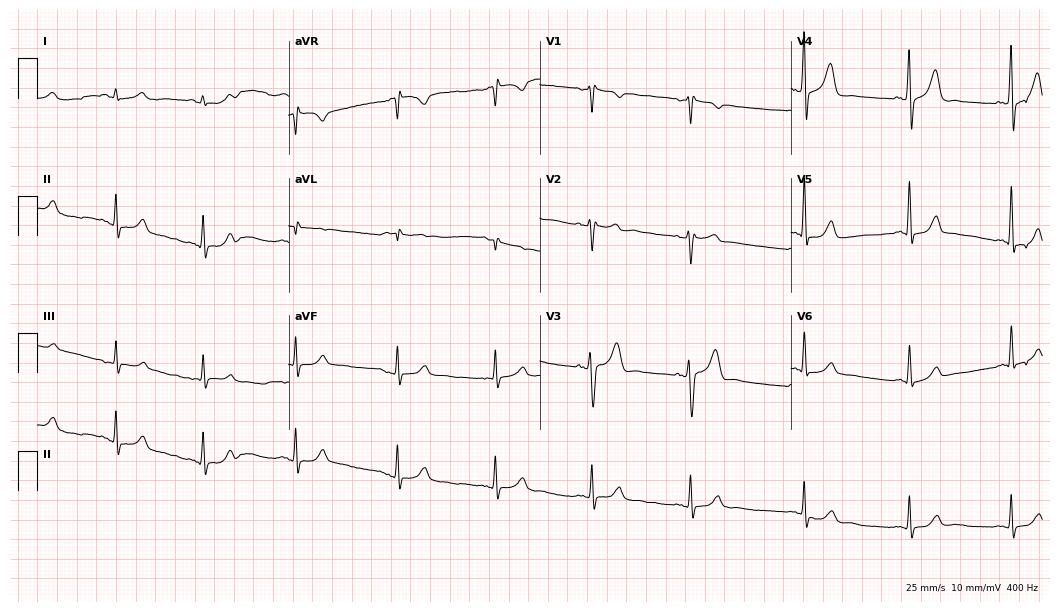
12-lead ECG from a male patient, 44 years old (10.2-second recording at 400 Hz). Recorded interpretation: within normal limits.